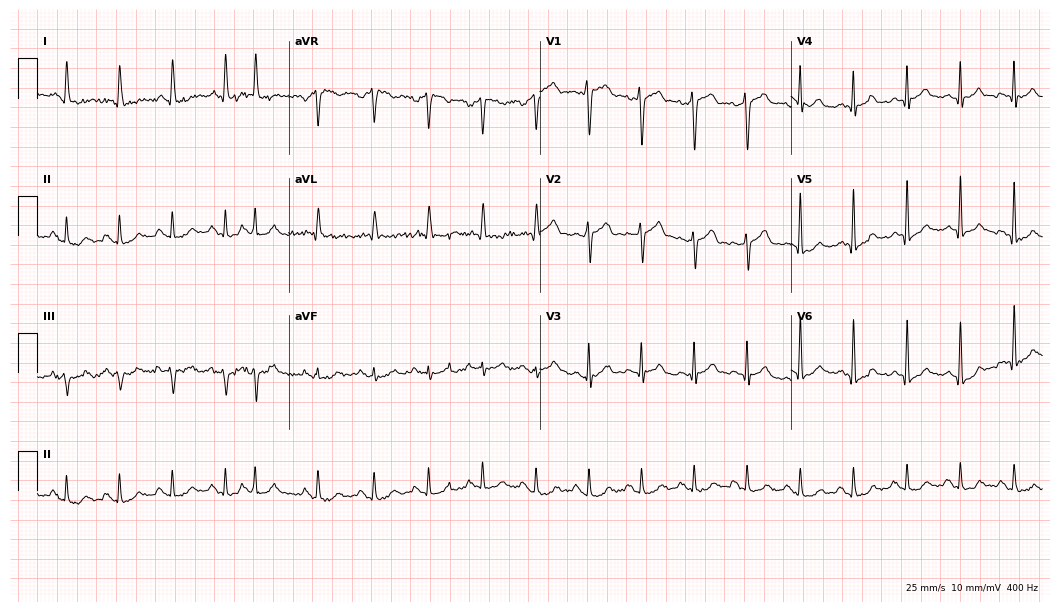
Resting 12-lead electrocardiogram. Patient: a 74-year-old male. None of these six findings is recorded: first-degree AV block, right bundle branch block (RBBB), left bundle branch block (LBBB), sinus bradycardia, atrial fibrillation (AF), sinus tachycardia.